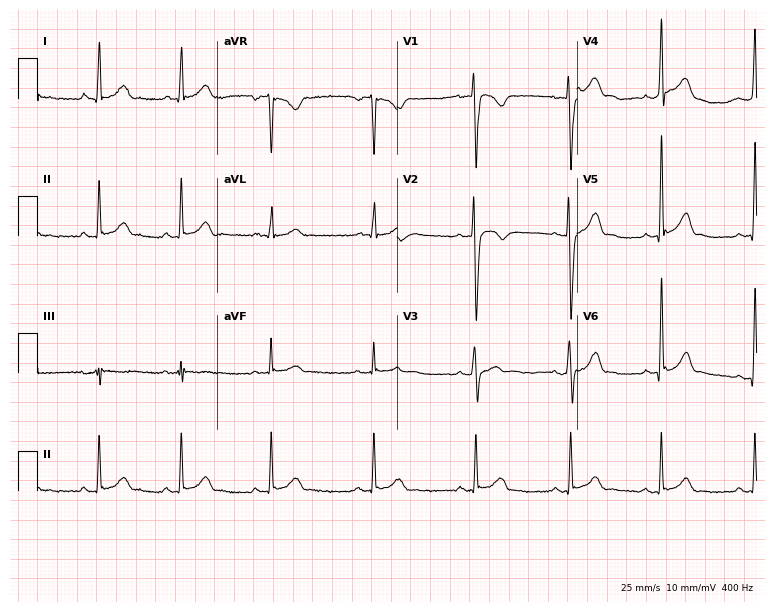
12-lead ECG from a male patient, 30 years old. Recorded interpretation: within normal limits.